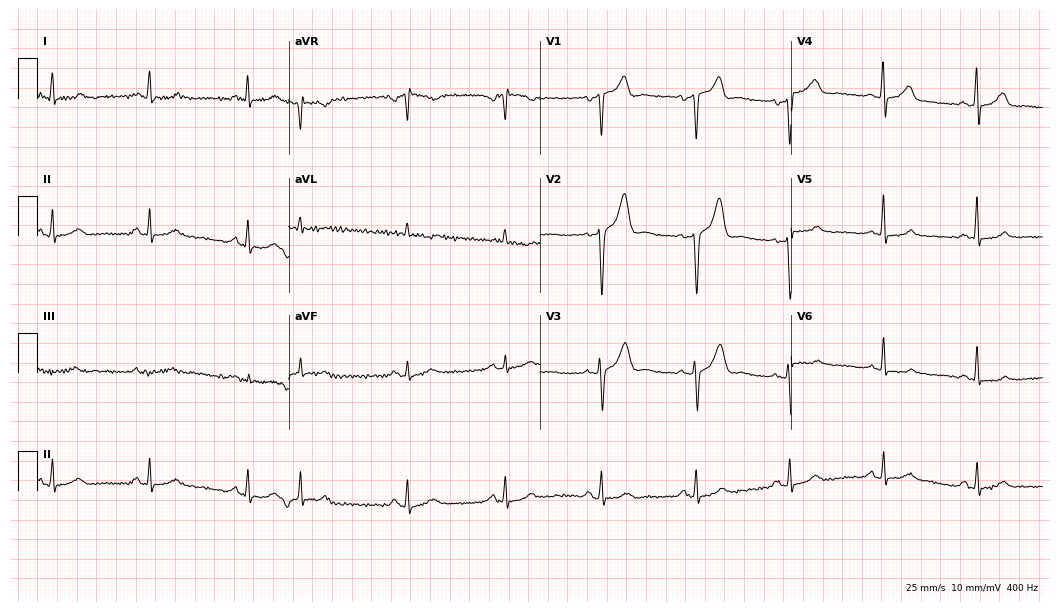
Electrocardiogram (10.2-second recording at 400 Hz), a male, 63 years old. Of the six screened findings (first-degree AV block, right bundle branch block, left bundle branch block, sinus bradycardia, atrial fibrillation, sinus tachycardia), none is recorded.